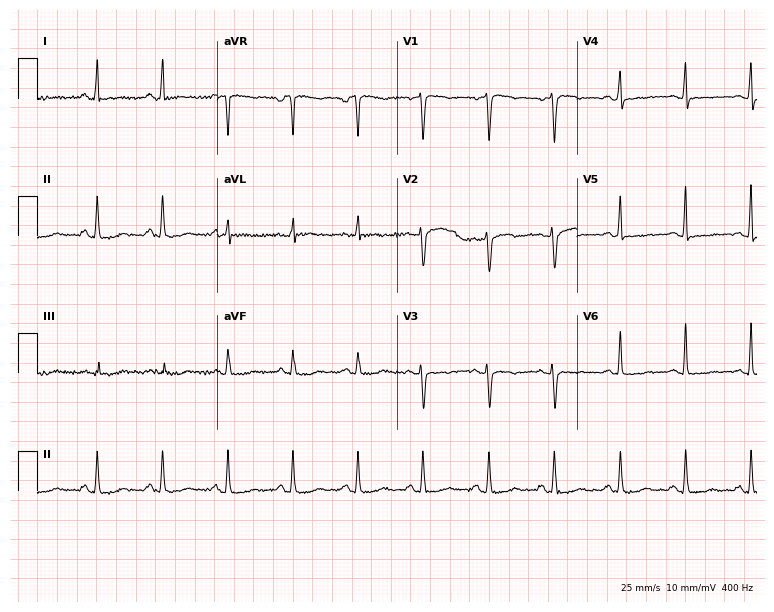
ECG (7.3-second recording at 400 Hz) — a 47-year-old female patient. Screened for six findings — first-degree AV block, right bundle branch block (RBBB), left bundle branch block (LBBB), sinus bradycardia, atrial fibrillation (AF), sinus tachycardia — none is recorded.